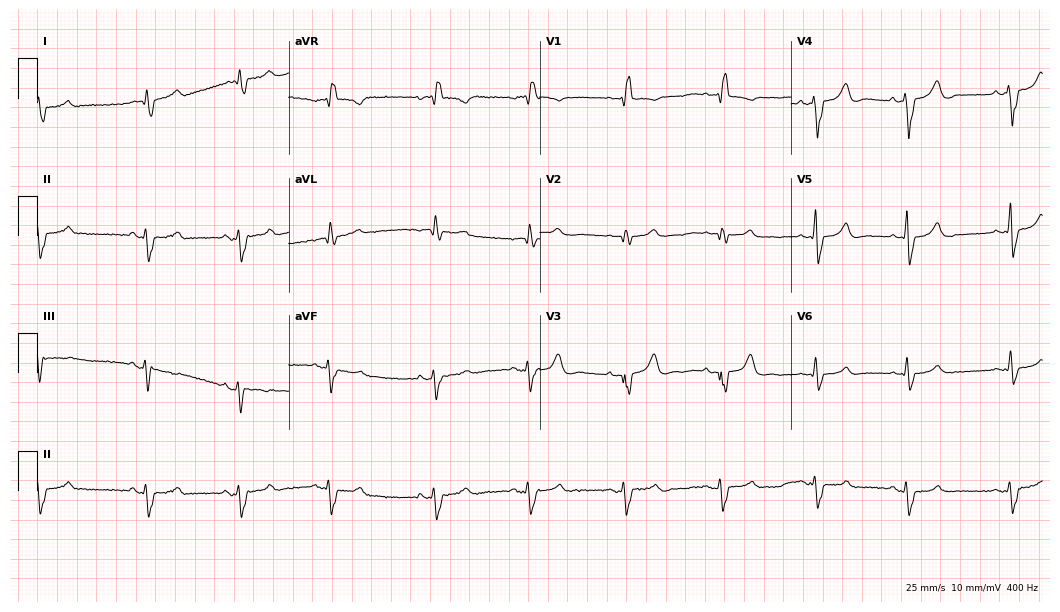
Electrocardiogram (10.2-second recording at 400 Hz), a male, 59 years old. Interpretation includes right bundle branch block (RBBB).